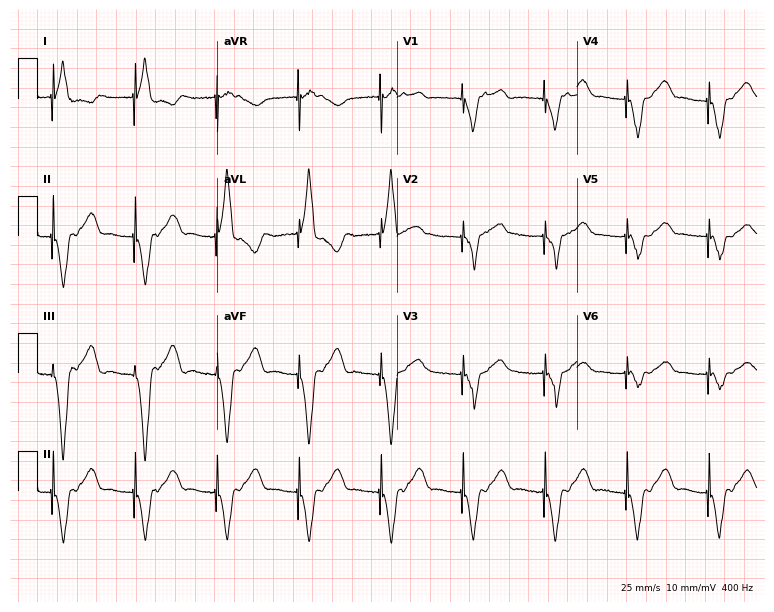
ECG — a 70-year-old female patient. Screened for six findings — first-degree AV block, right bundle branch block, left bundle branch block, sinus bradycardia, atrial fibrillation, sinus tachycardia — none is recorded.